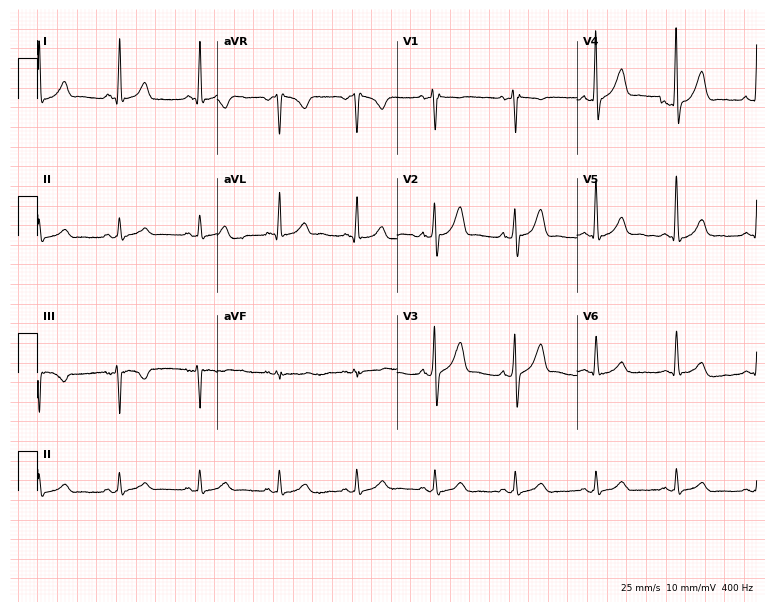
ECG — a 46-year-old male. Labelled as a normal ECG.